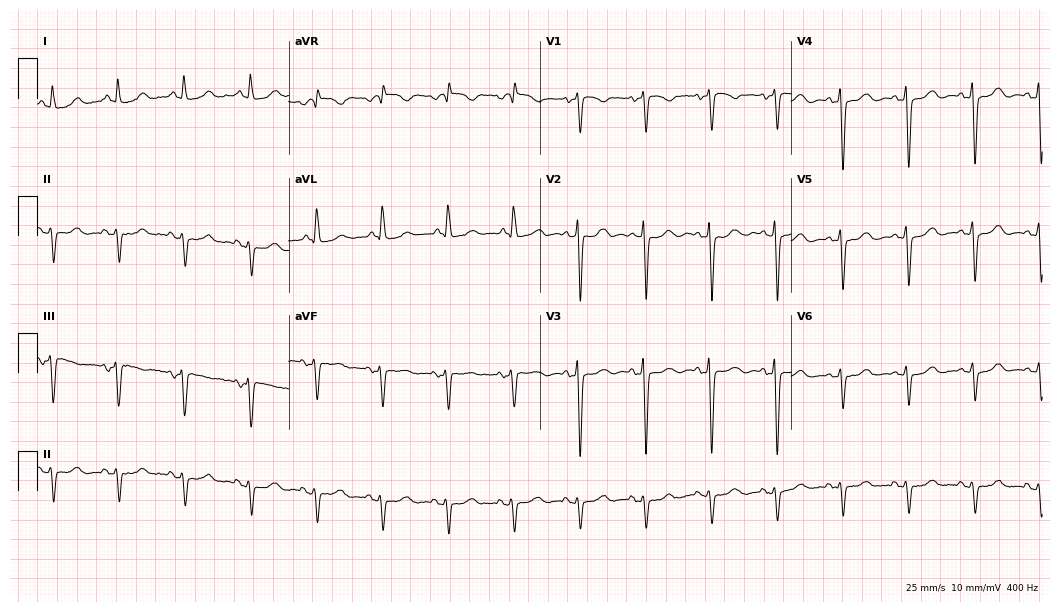
12-lead ECG from a female patient, 80 years old. Screened for six findings — first-degree AV block, right bundle branch block, left bundle branch block, sinus bradycardia, atrial fibrillation, sinus tachycardia — none is recorded. Other findings, if any, are not listed.